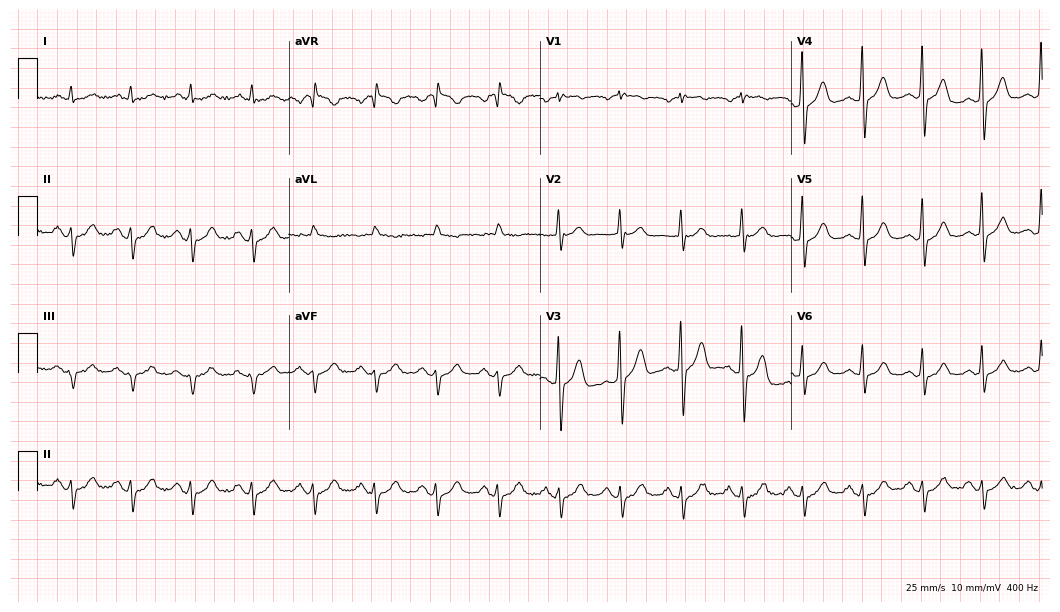
Resting 12-lead electrocardiogram. Patient: a 69-year-old man. None of these six findings is recorded: first-degree AV block, right bundle branch block (RBBB), left bundle branch block (LBBB), sinus bradycardia, atrial fibrillation (AF), sinus tachycardia.